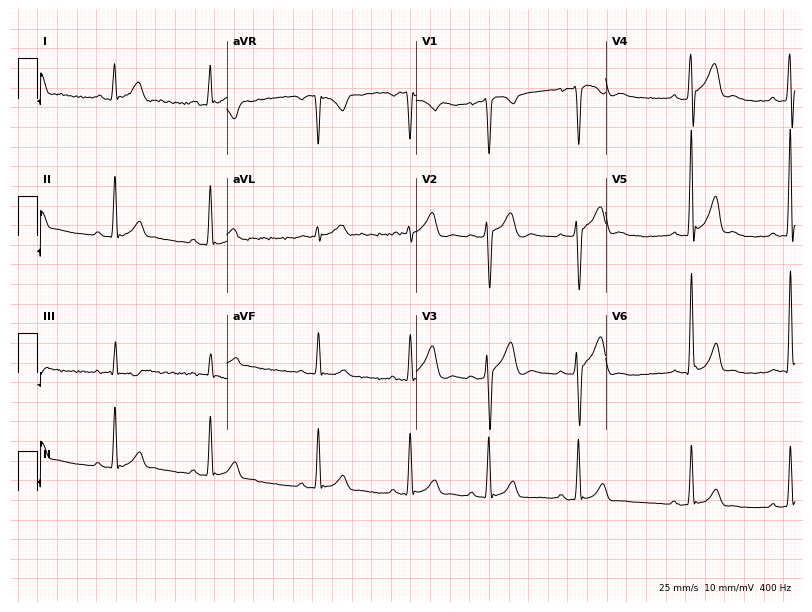
12-lead ECG (7.7-second recording at 400 Hz) from a male patient, 28 years old. Labelled as a normal ECG.